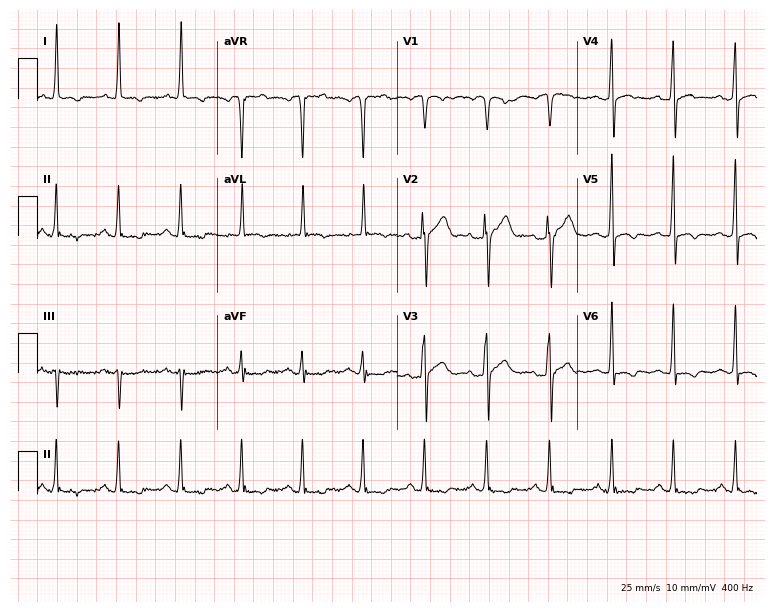
ECG (7.3-second recording at 400 Hz) — a 48-year-old male. Screened for six findings — first-degree AV block, right bundle branch block, left bundle branch block, sinus bradycardia, atrial fibrillation, sinus tachycardia — none is recorded.